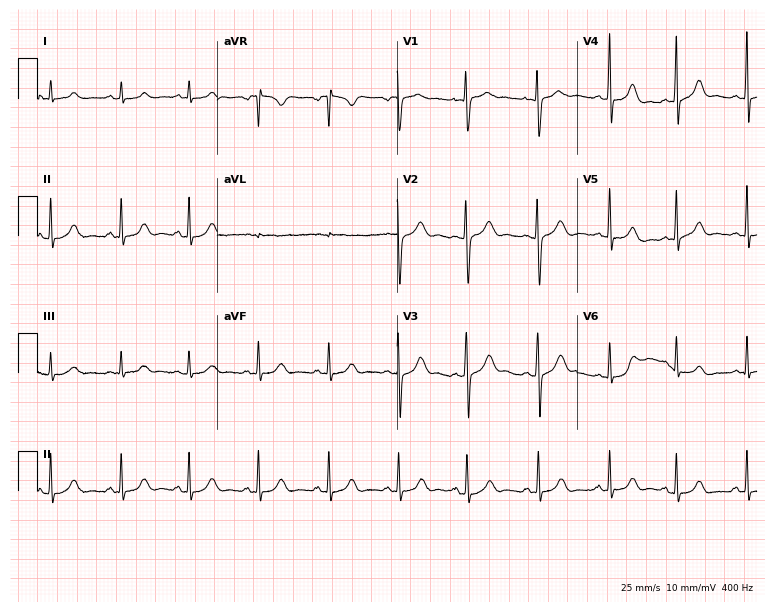
Electrocardiogram (7.3-second recording at 400 Hz), a female, 17 years old. Overall reading on record: normal ECG.